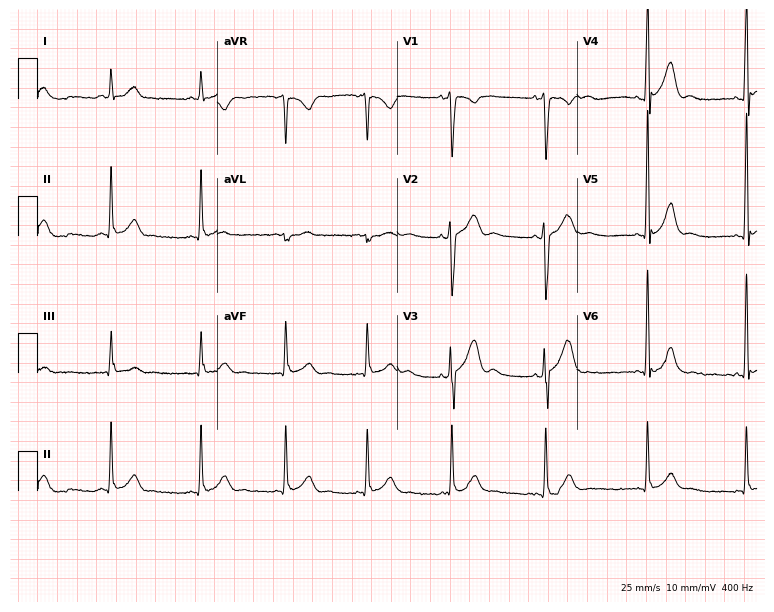
12-lead ECG from a man, 24 years old (7.3-second recording at 400 Hz). No first-degree AV block, right bundle branch block, left bundle branch block, sinus bradycardia, atrial fibrillation or sinus tachycardia recorded for this tracing. Findings outside these six are not listed.